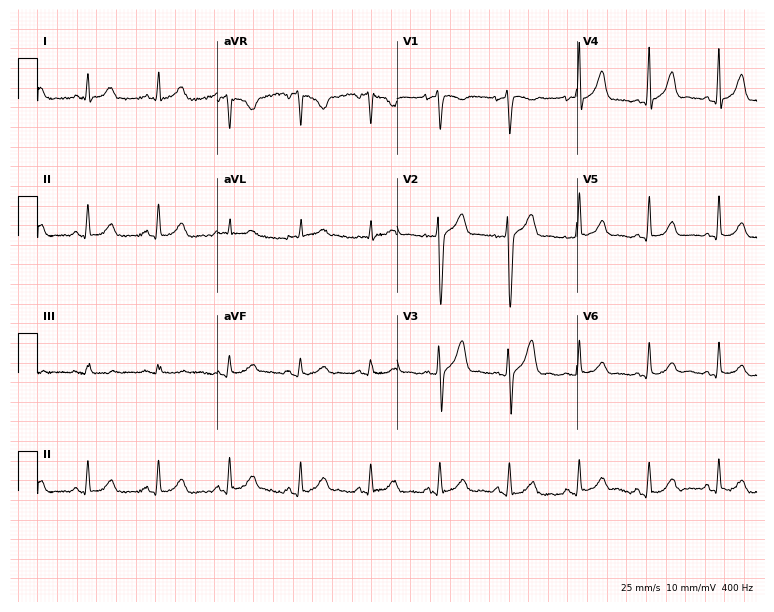
12-lead ECG from a man, 58 years old. Screened for six findings — first-degree AV block, right bundle branch block (RBBB), left bundle branch block (LBBB), sinus bradycardia, atrial fibrillation (AF), sinus tachycardia — none is recorded. Other findings, if any, are not listed.